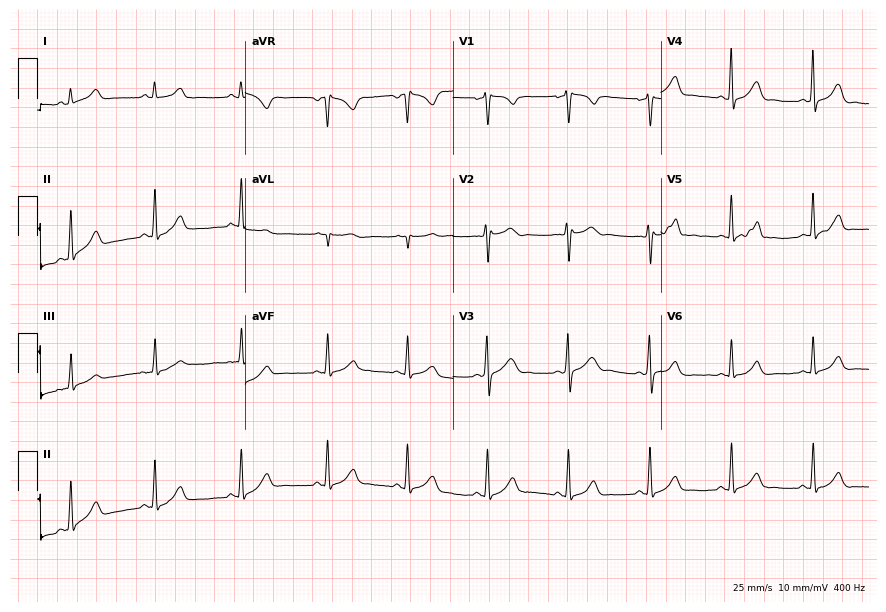
12-lead ECG from a female patient, 48 years old. Screened for six findings — first-degree AV block, right bundle branch block (RBBB), left bundle branch block (LBBB), sinus bradycardia, atrial fibrillation (AF), sinus tachycardia — none is recorded. Only these six findings were labelled.